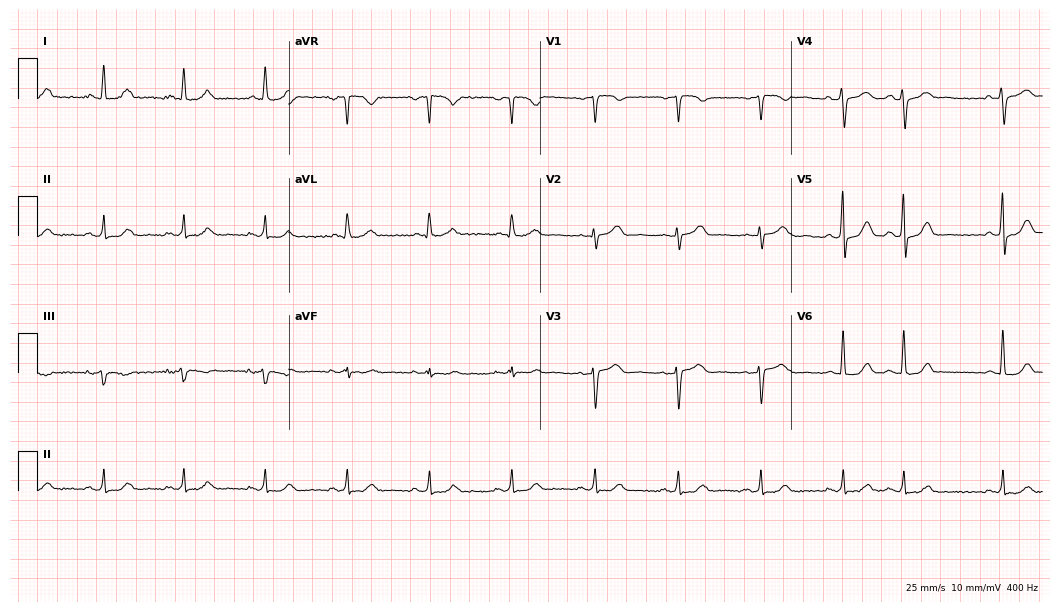
Resting 12-lead electrocardiogram. Patient: a female, 61 years old. Read as a normal ECG.